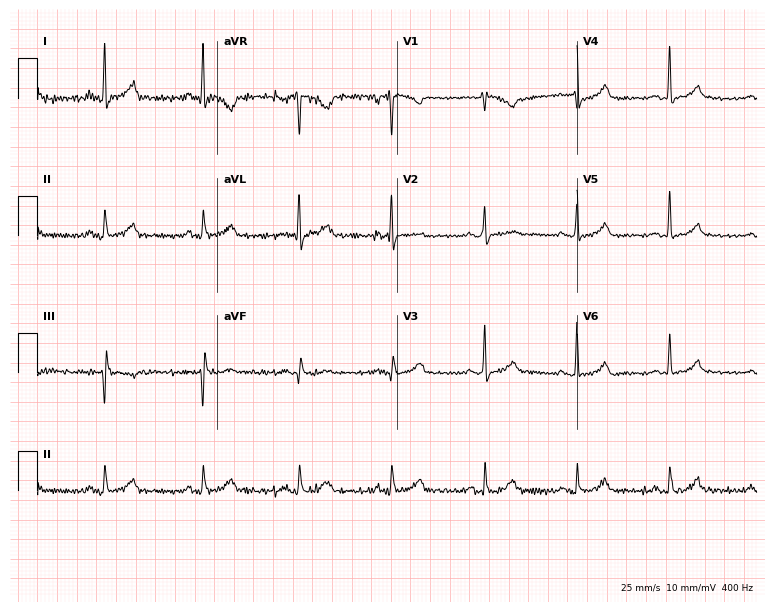
Resting 12-lead electrocardiogram (7.3-second recording at 400 Hz). Patient: a woman, 47 years old. None of these six findings is recorded: first-degree AV block, right bundle branch block (RBBB), left bundle branch block (LBBB), sinus bradycardia, atrial fibrillation (AF), sinus tachycardia. Other findings, if any, are not listed.